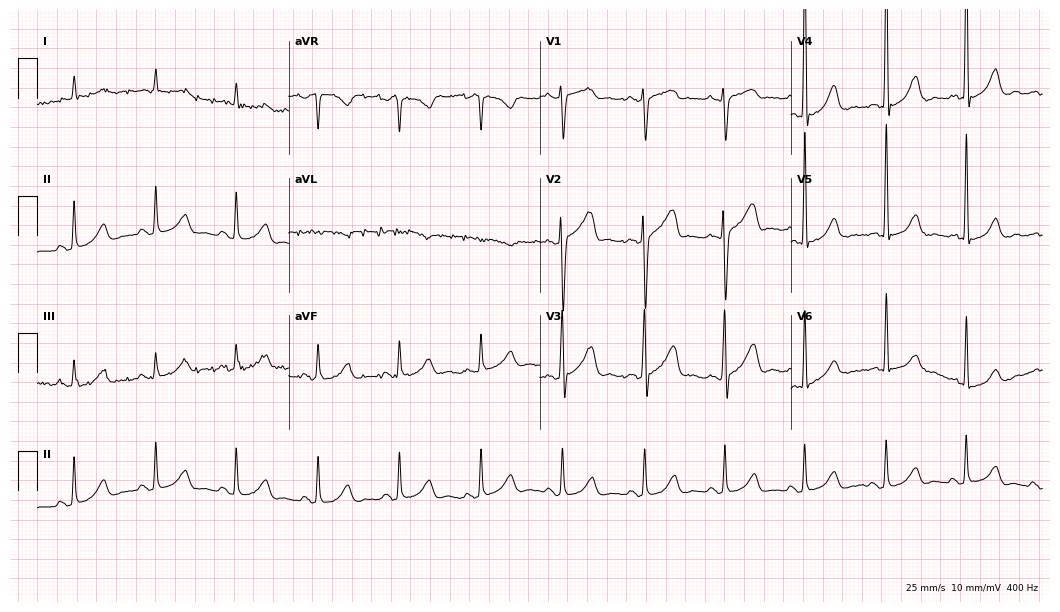
Standard 12-lead ECG recorded from a 57-year-old male. None of these six findings is recorded: first-degree AV block, right bundle branch block, left bundle branch block, sinus bradycardia, atrial fibrillation, sinus tachycardia. Other findings, if any, are not listed.